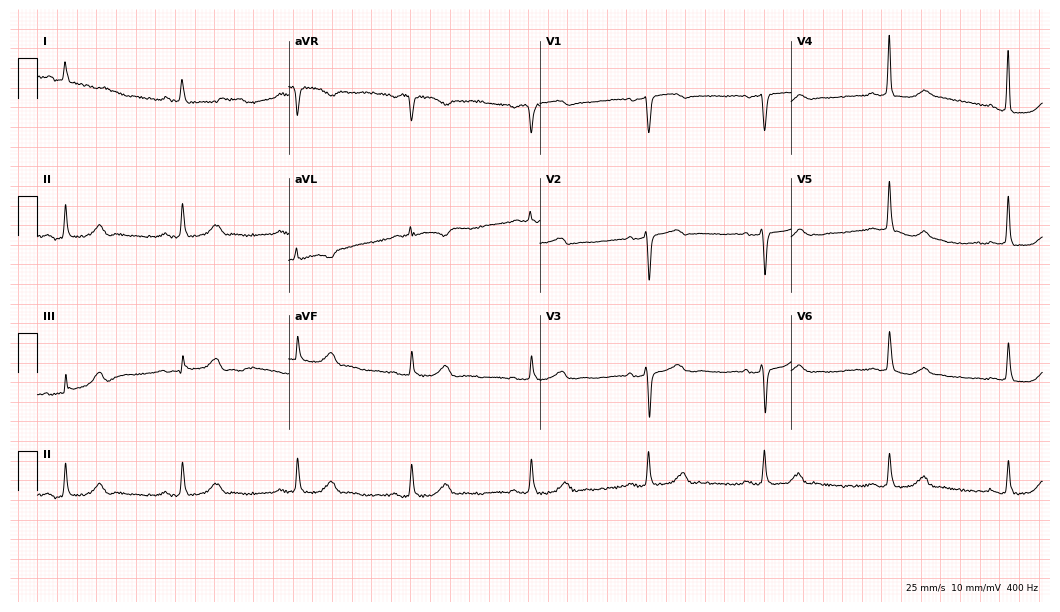
Resting 12-lead electrocardiogram. Patient: a female, 71 years old. None of these six findings is recorded: first-degree AV block, right bundle branch block (RBBB), left bundle branch block (LBBB), sinus bradycardia, atrial fibrillation (AF), sinus tachycardia.